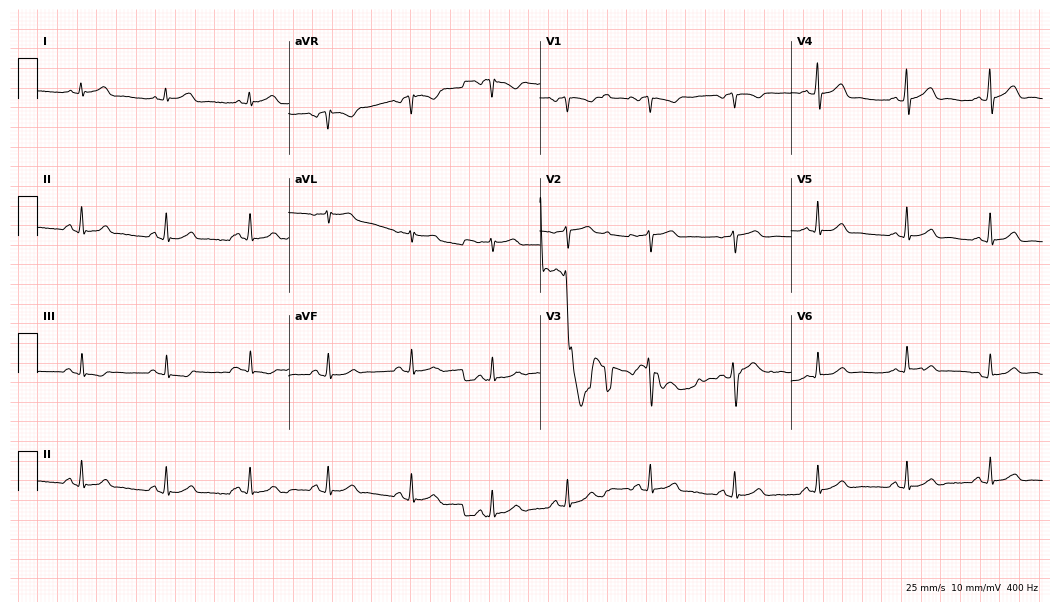
Resting 12-lead electrocardiogram (10.2-second recording at 400 Hz). Patient: a 38-year-old male. None of these six findings is recorded: first-degree AV block, right bundle branch block (RBBB), left bundle branch block (LBBB), sinus bradycardia, atrial fibrillation (AF), sinus tachycardia.